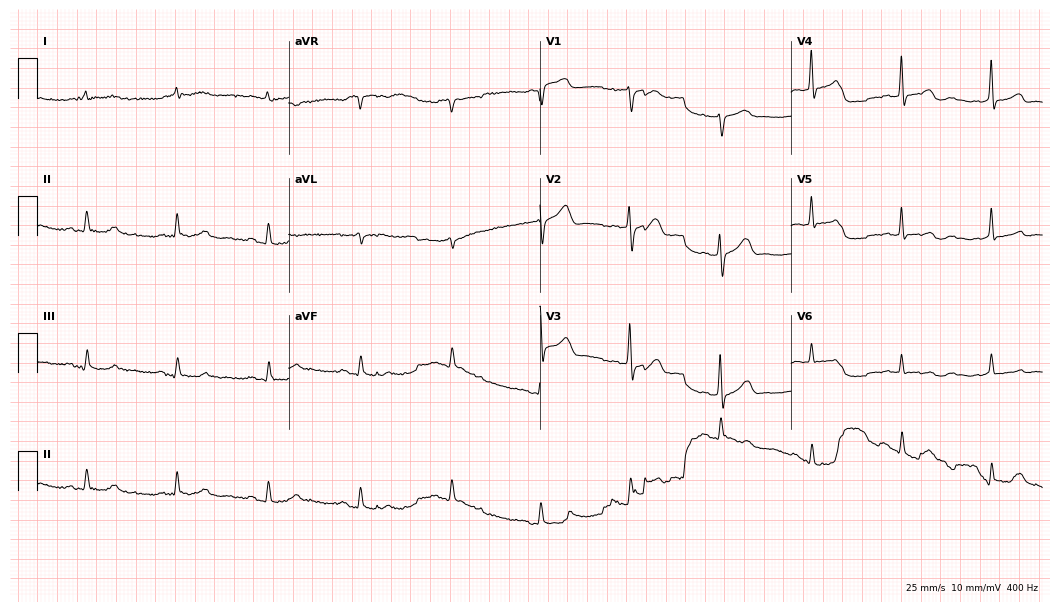
12-lead ECG from a 75-year-old male patient. Labelled as a normal ECG.